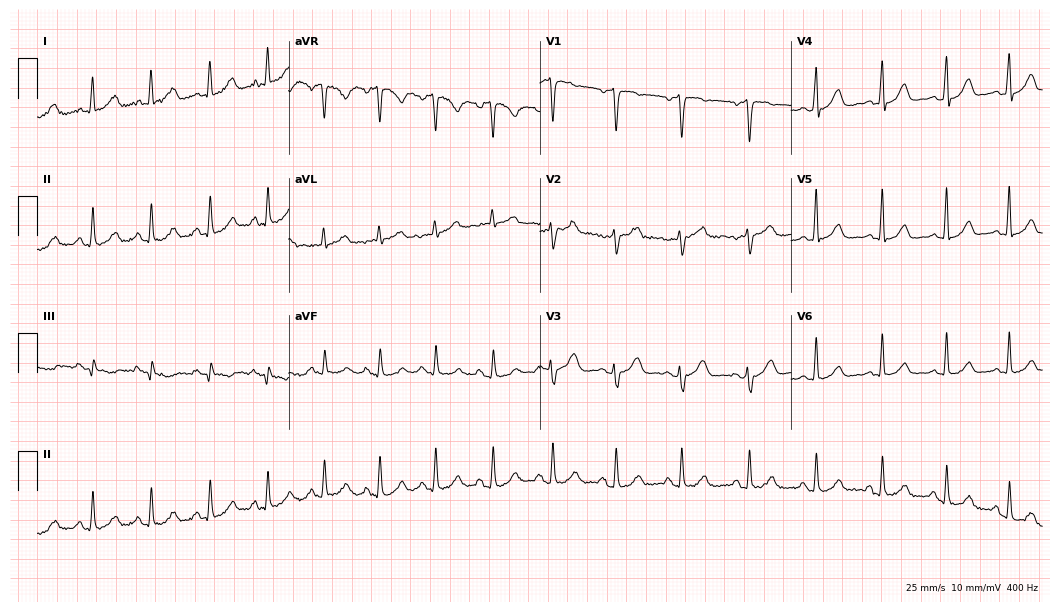
12-lead ECG (10.2-second recording at 400 Hz) from a woman, 60 years old. Labelled as a normal ECG.